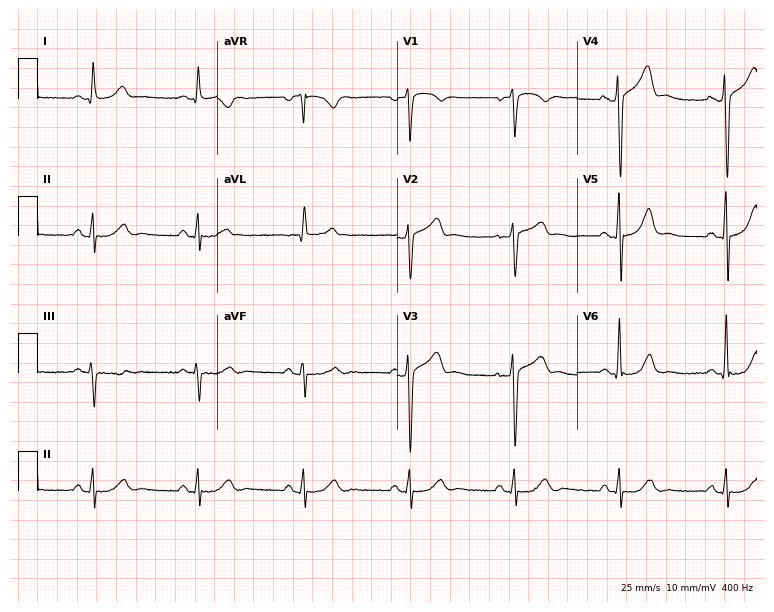
Resting 12-lead electrocardiogram (7.3-second recording at 400 Hz). Patient: a male, 65 years old. Read as a normal ECG.